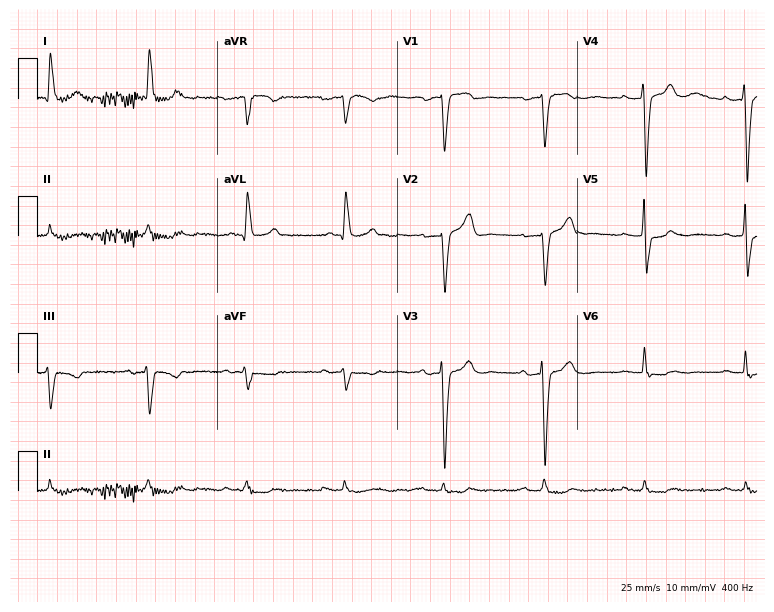
Electrocardiogram (7.3-second recording at 400 Hz), a 77-year-old man. Of the six screened findings (first-degree AV block, right bundle branch block (RBBB), left bundle branch block (LBBB), sinus bradycardia, atrial fibrillation (AF), sinus tachycardia), none is recorded.